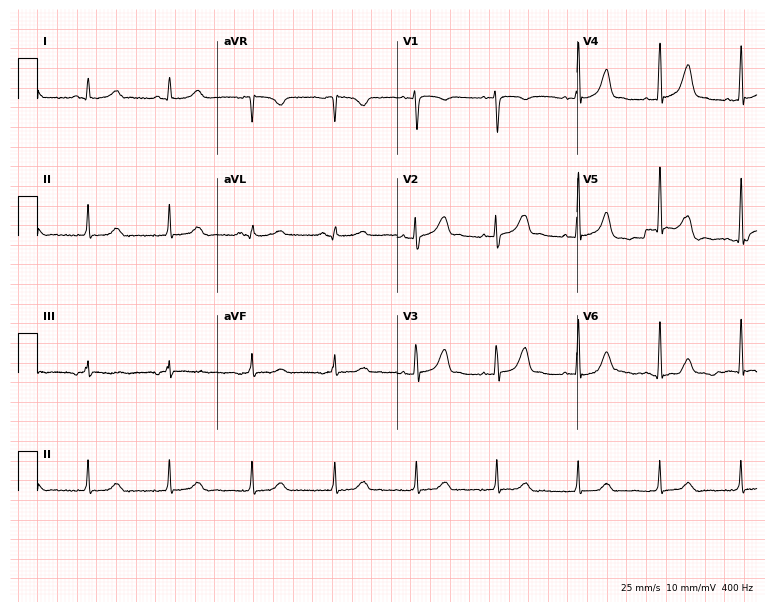
Electrocardiogram, a woman, 47 years old. Of the six screened findings (first-degree AV block, right bundle branch block, left bundle branch block, sinus bradycardia, atrial fibrillation, sinus tachycardia), none is recorded. Findings outside these six are not listed.